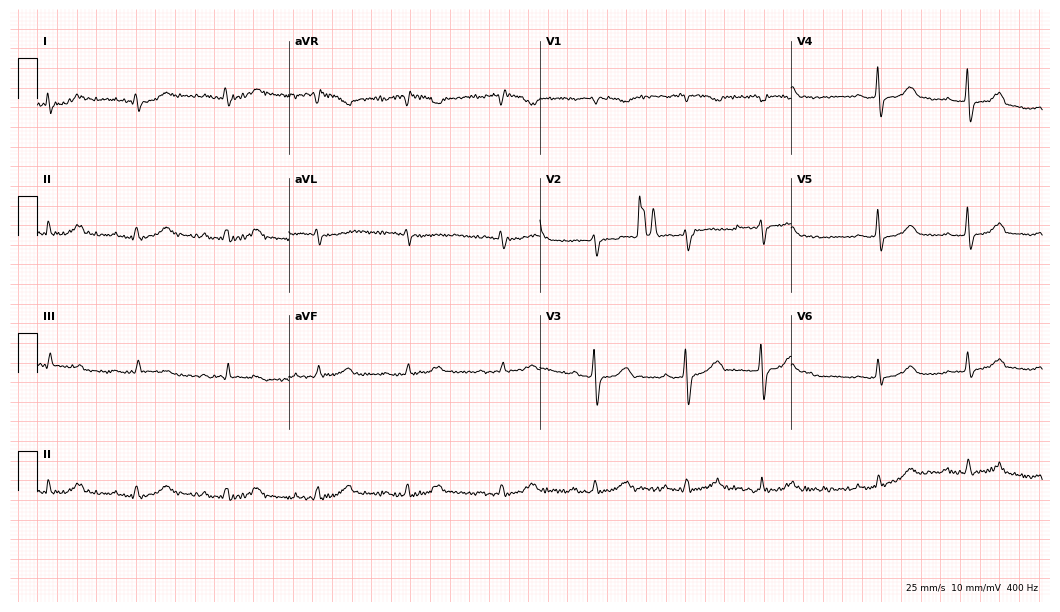
Standard 12-lead ECG recorded from an 81-year-old man. None of these six findings is recorded: first-degree AV block, right bundle branch block, left bundle branch block, sinus bradycardia, atrial fibrillation, sinus tachycardia. Only these six findings were labelled.